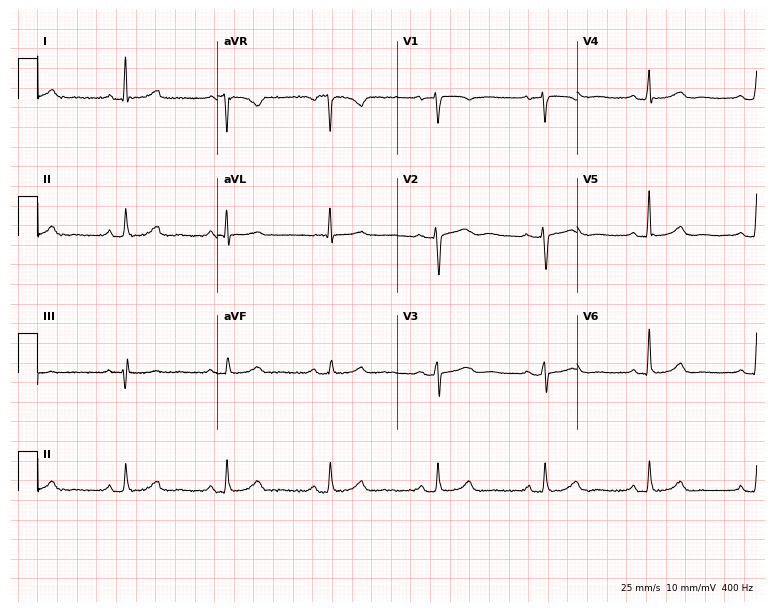
ECG — a 61-year-old female. Labelled as a normal ECG.